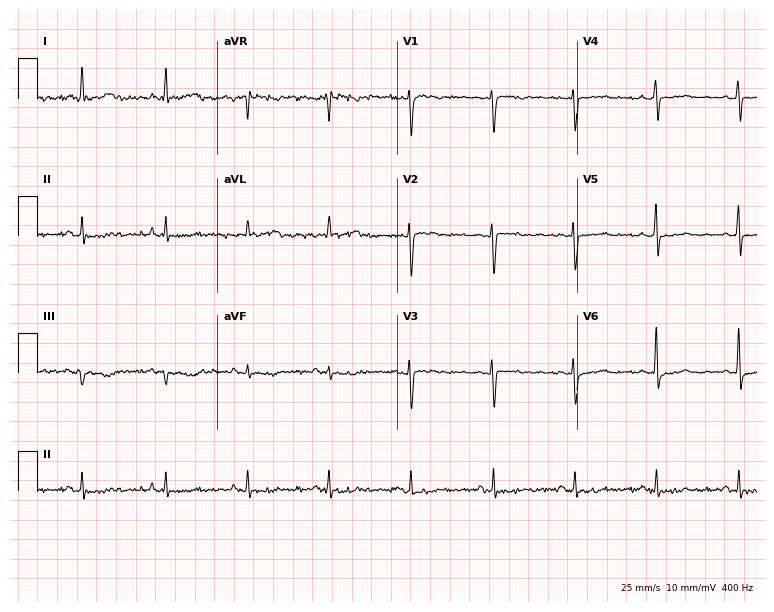
12-lead ECG from a woman, 41 years old. No first-degree AV block, right bundle branch block, left bundle branch block, sinus bradycardia, atrial fibrillation or sinus tachycardia recorded for this tracing.